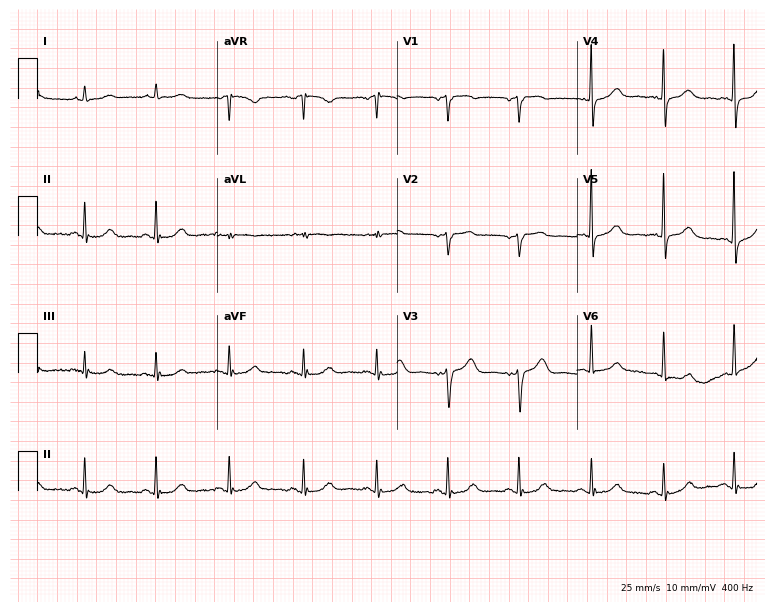
Standard 12-lead ECG recorded from a woman, 81 years old (7.3-second recording at 400 Hz). None of these six findings is recorded: first-degree AV block, right bundle branch block (RBBB), left bundle branch block (LBBB), sinus bradycardia, atrial fibrillation (AF), sinus tachycardia.